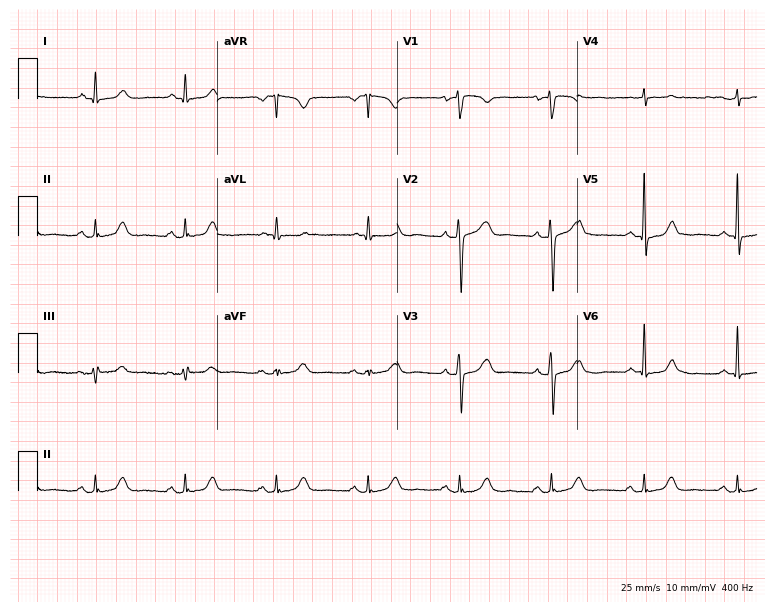
Resting 12-lead electrocardiogram. Patient: a 58-year-old female. Read as a normal ECG.